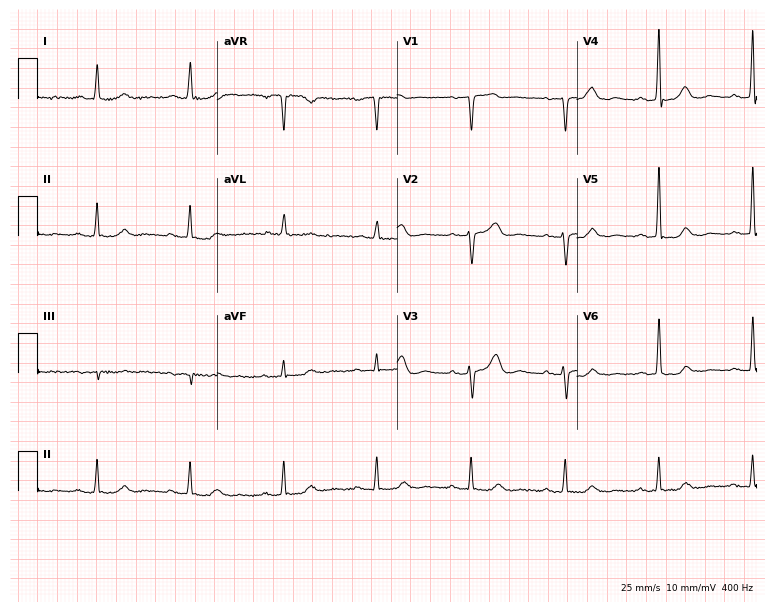
ECG — a woman, 59 years old. Screened for six findings — first-degree AV block, right bundle branch block (RBBB), left bundle branch block (LBBB), sinus bradycardia, atrial fibrillation (AF), sinus tachycardia — none is recorded.